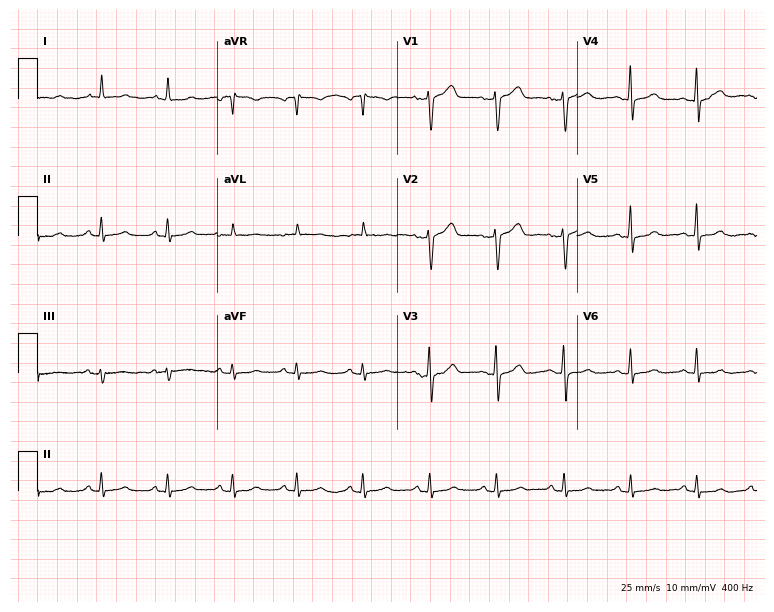
12-lead ECG from a 49-year-old woman (7.3-second recording at 400 Hz). Recorded interpretation: within normal limits.